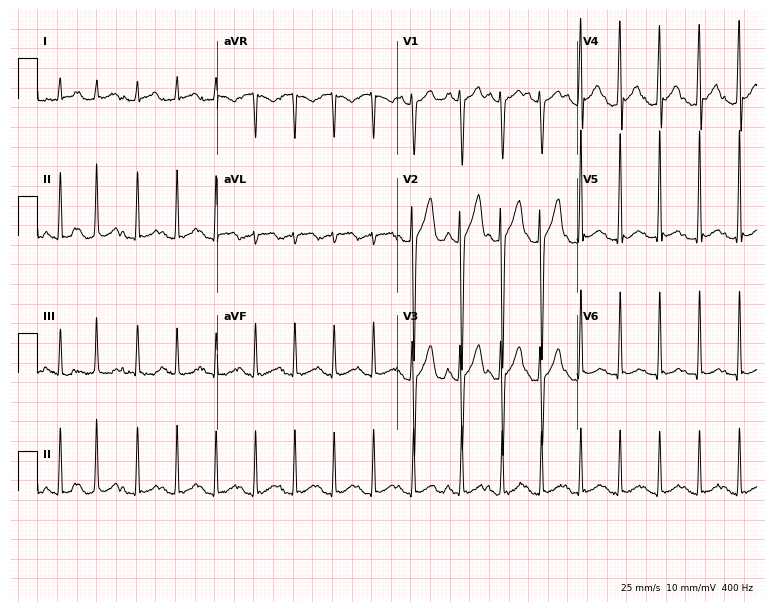
Standard 12-lead ECG recorded from a 23-year-old man. The tracing shows sinus tachycardia (a sinus rate of 100 beats per minute or more).